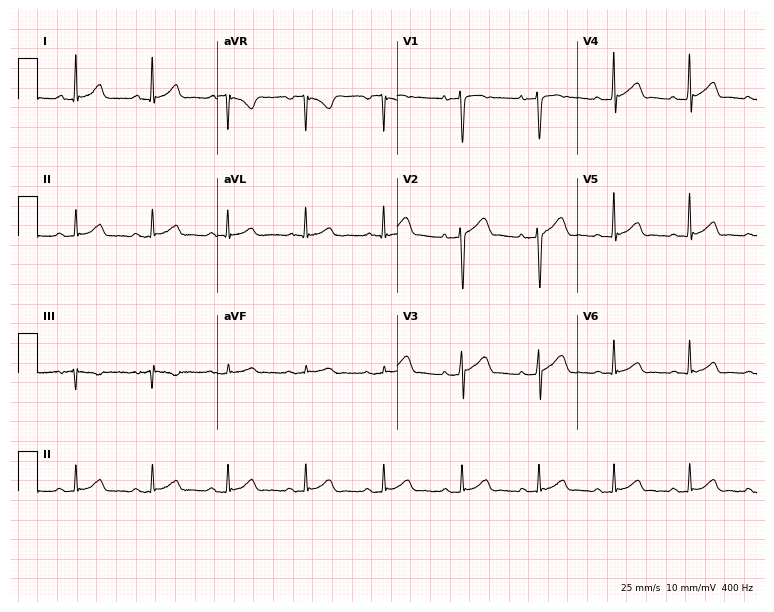
Resting 12-lead electrocardiogram (7.3-second recording at 400 Hz). Patient: a 46-year-old man. None of these six findings is recorded: first-degree AV block, right bundle branch block, left bundle branch block, sinus bradycardia, atrial fibrillation, sinus tachycardia.